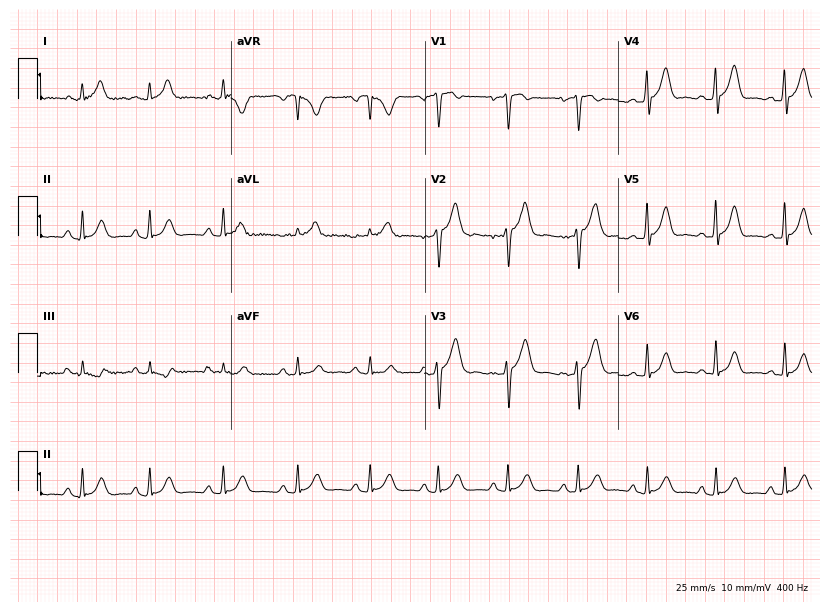
ECG — a female patient, 38 years old. Screened for six findings — first-degree AV block, right bundle branch block, left bundle branch block, sinus bradycardia, atrial fibrillation, sinus tachycardia — none is recorded. Only these six findings were labelled.